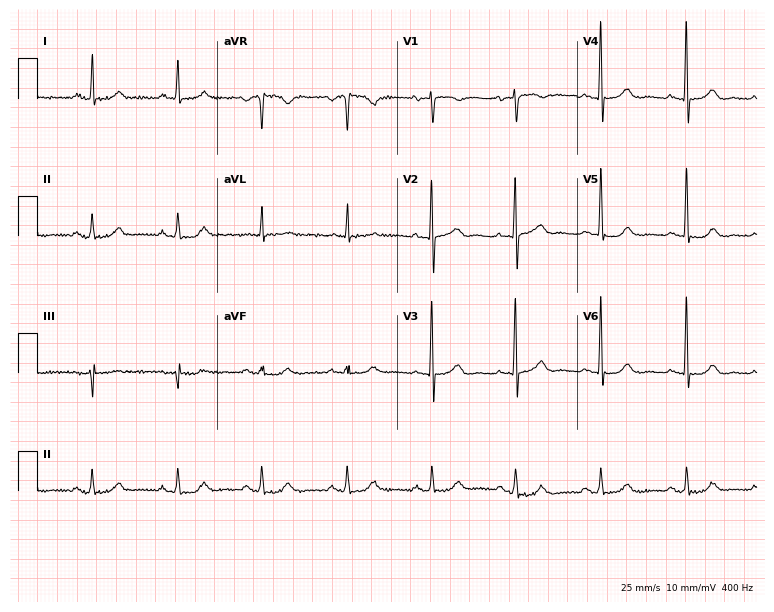
12-lead ECG from a 62-year-old female patient. Recorded interpretation: within normal limits.